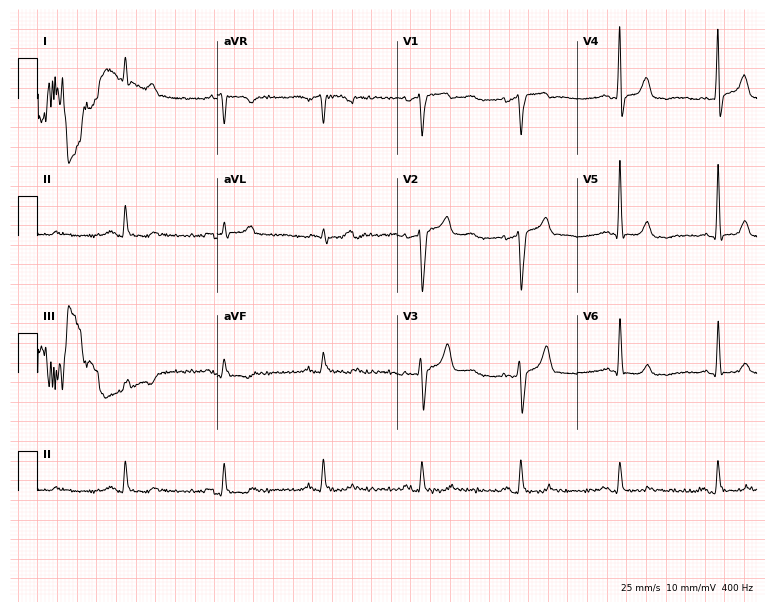
Resting 12-lead electrocardiogram. Patient: a male, 81 years old. None of these six findings is recorded: first-degree AV block, right bundle branch block, left bundle branch block, sinus bradycardia, atrial fibrillation, sinus tachycardia. Findings outside these six are not listed.